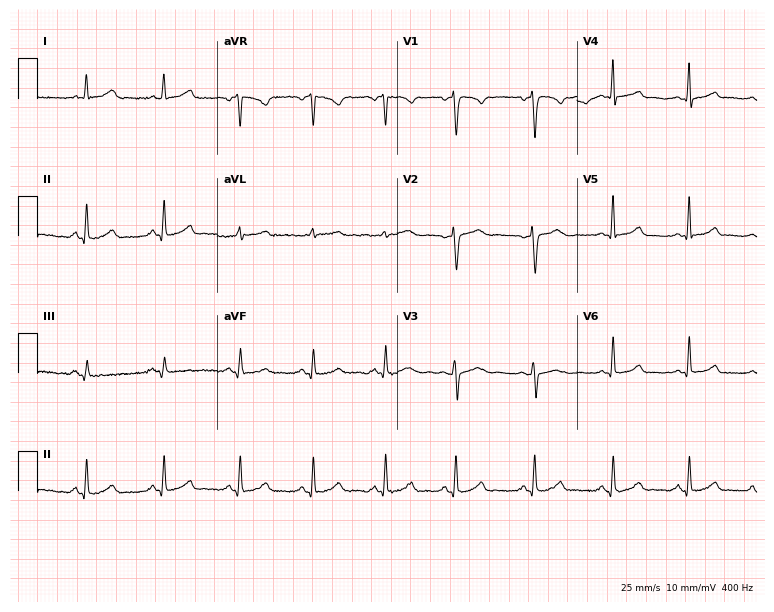
12-lead ECG (7.3-second recording at 400 Hz) from a female, 24 years old. Screened for six findings — first-degree AV block, right bundle branch block, left bundle branch block, sinus bradycardia, atrial fibrillation, sinus tachycardia — none is recorded.